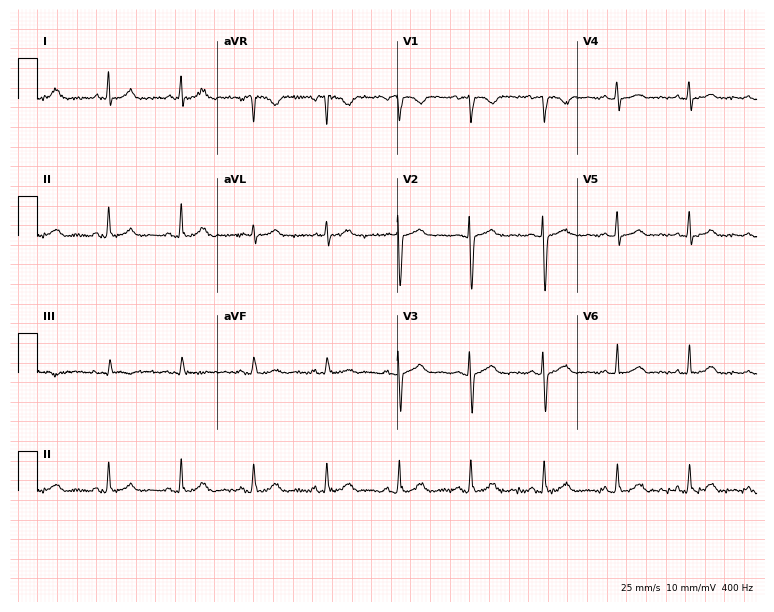
ECG — a woman, 49 years old. Labelled as a normal ECG.